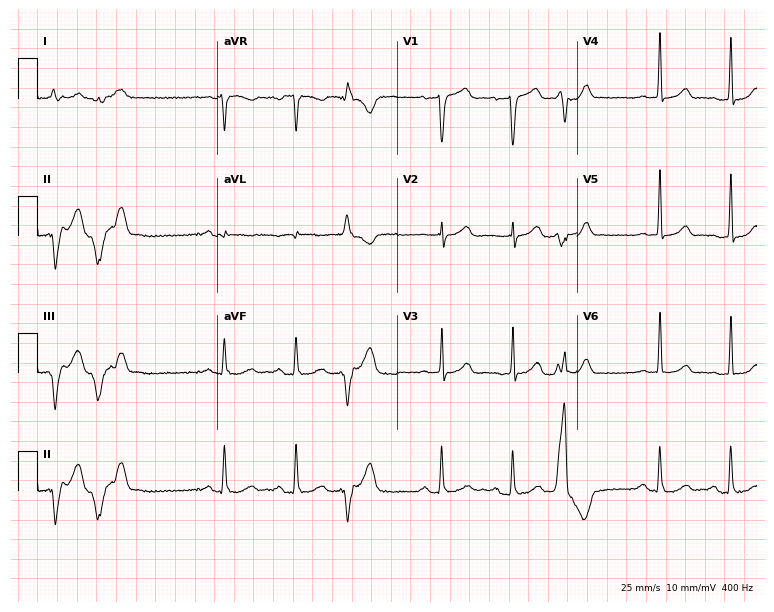
ECG — a 76-year-old man. Screened for six findings — first-degree AV block, right bundle branch block, left bundle branch block, sinus bradycardia, atrial fibrillation, sinus tachycardia — none is recorded.